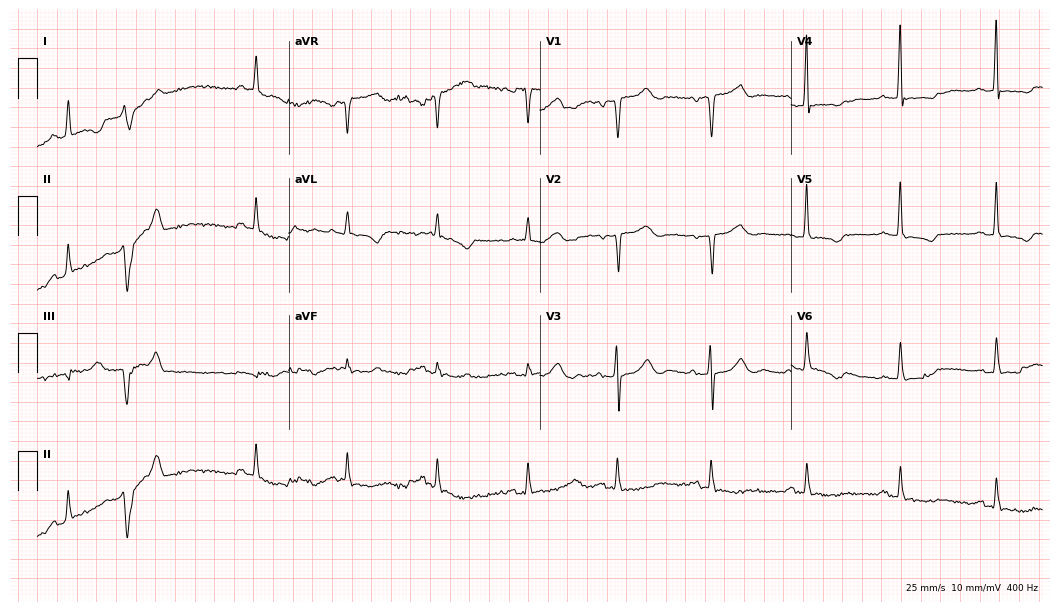
12-lead ECG from a female patient, 56 years old (10.2-second recording at 400 Hz). No first-degree AV block, right bundle branch block, left bundle branch block, sinus bradycardia, atrial fibrillation or sinus tachycardia recorded for this tracing.